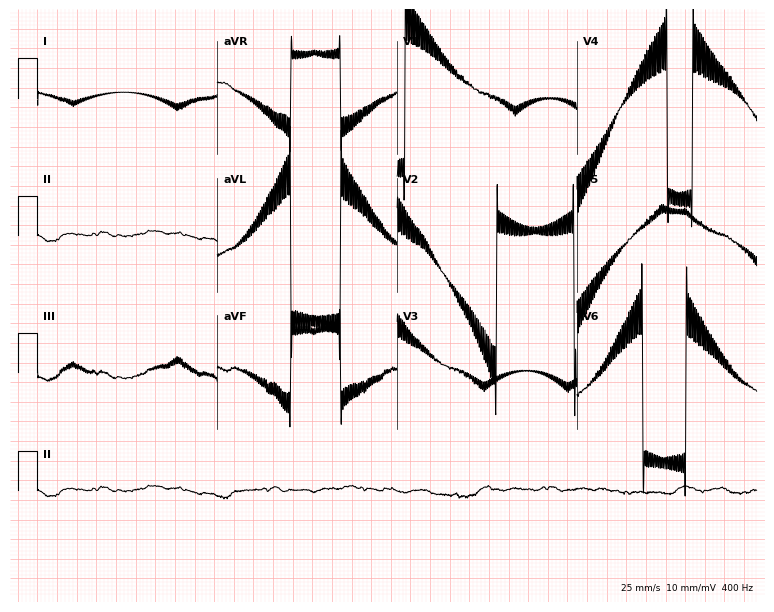
Resting 12-lead electrocardiogram. Patient: a female, 24 years old. None of these six findings is recorded: first-degree AV block, right bundle branch block, left bundle branch block, sinus bradycardia, atrial fibrillation, sinus tachycardia. Other findings, if any, are not listed.